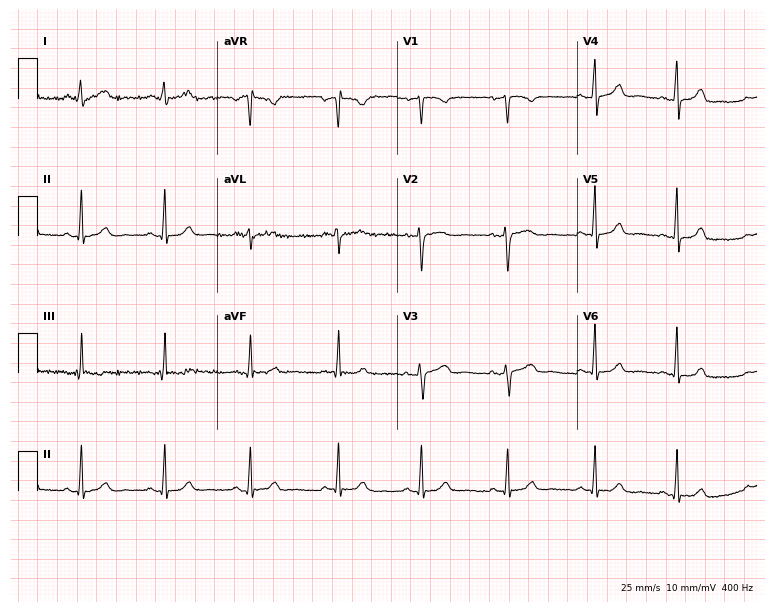
Standard 12-lead ECG recorded from a woman, 41 years old (7.3-second recording at 400 Hz). Read as a normal ECG.